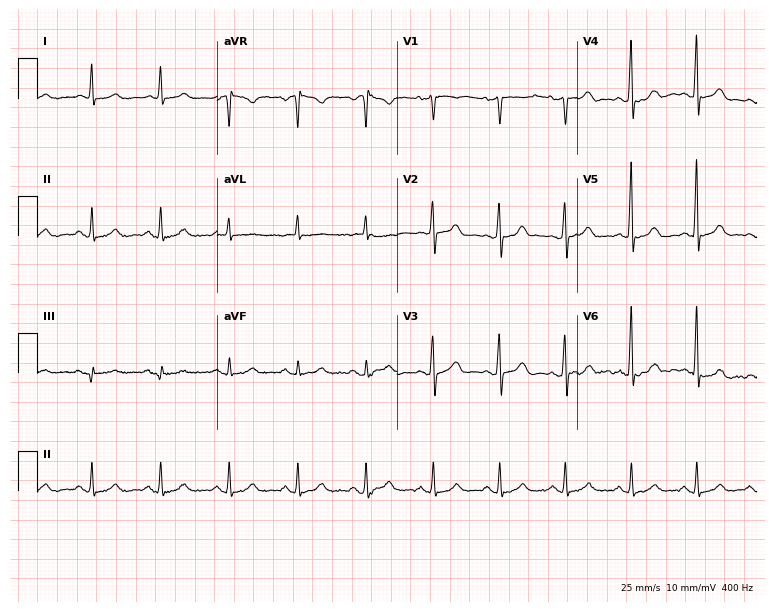
12-lead ECG from a 66-year-old male patient. Recorded interpretation: within normal limits.